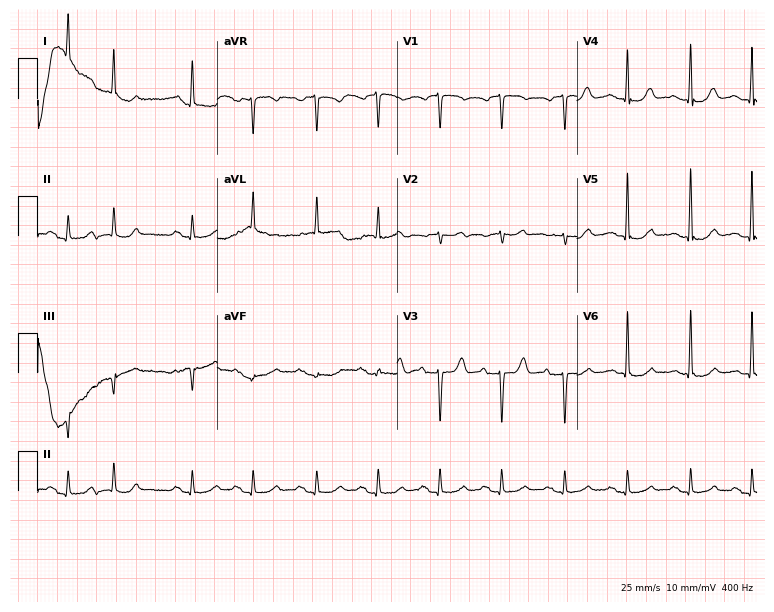
Standard 12-lead ECG recorded from a 78-year-old female. None of these six findings is recorded: first-degree AV block, right bundle branch block, left bundle branch block, sinus bradycardia, atrial fibrillation, sinus tachycardia. Only these six findings were labelled.